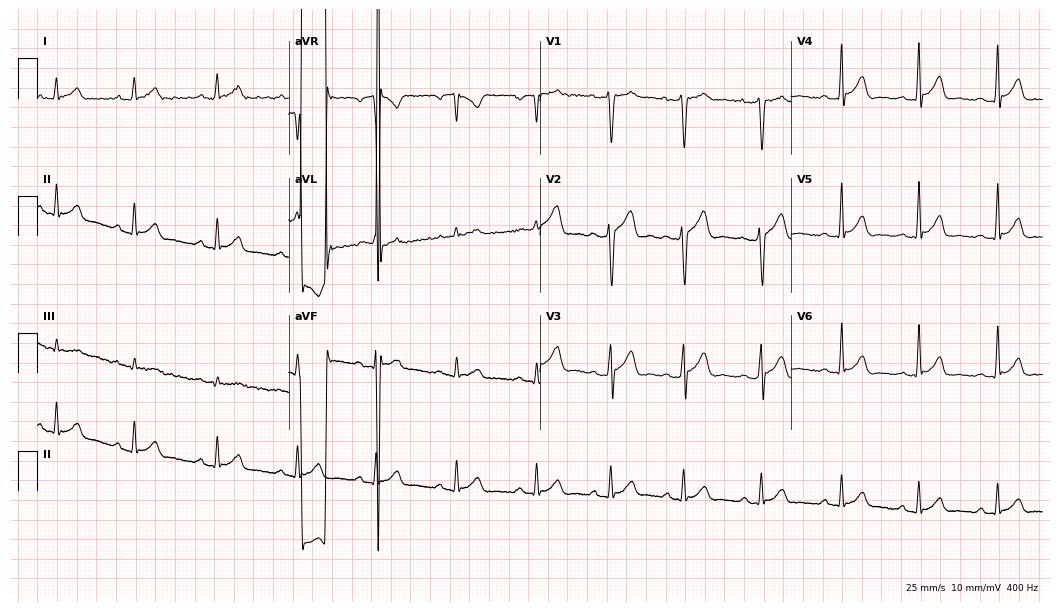
12-lead ECG (10.2-second recording at 400 Hz) from a female patient, 28 years old. Screened for six findings — first-degree AV block, right bundle branch block (RBBB), left bundle branch block (LBBB), sinus bradycardia, atrial fibrillation (AF), sinus tachycardia — none is recorded.